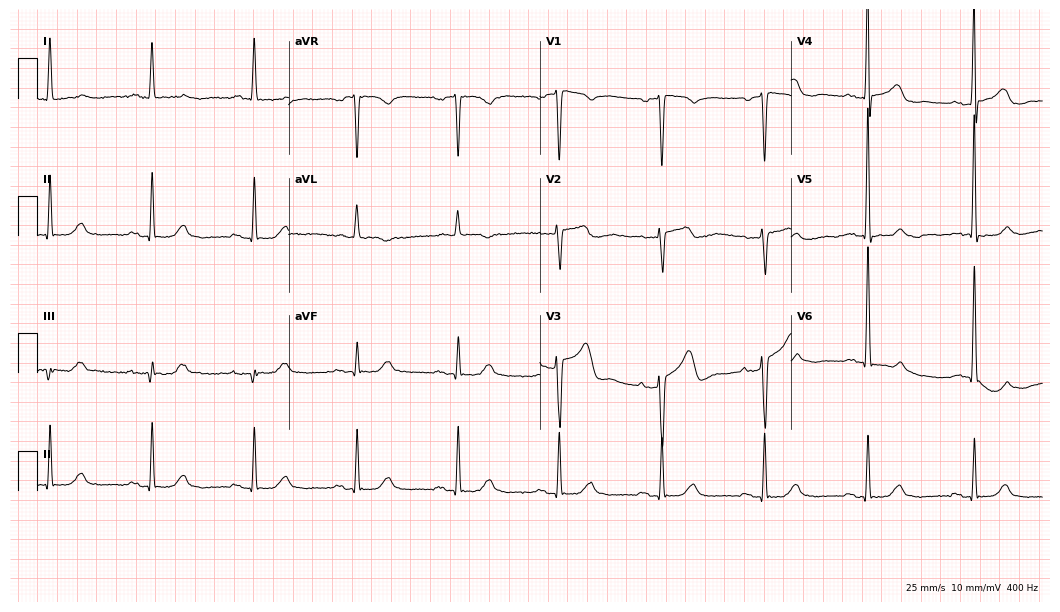
ECG (10.2-second recording at 400 Hz) — a male, 78 years old. Screened for six findings — first-degree AV block, right bundle branch block, left bundle branch block, sinus bradycardia, atrial fibrillation, sinus tachycardia — none is recorded. Only these six findings were labelled.